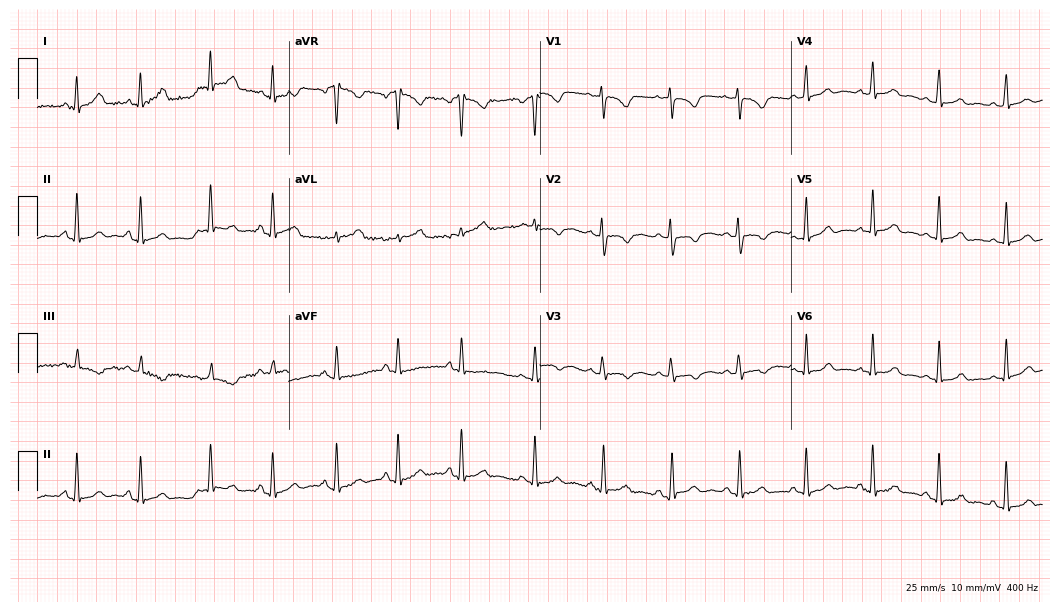
Resting 12-lead electrocardiogram. Patient: a female, 21 years old. None of these six findings is recorded: first-degree AV block, right bundle branch block, left bundle branch block, sinus bradycardia, atrial fibrillation, sinus tachycardia.